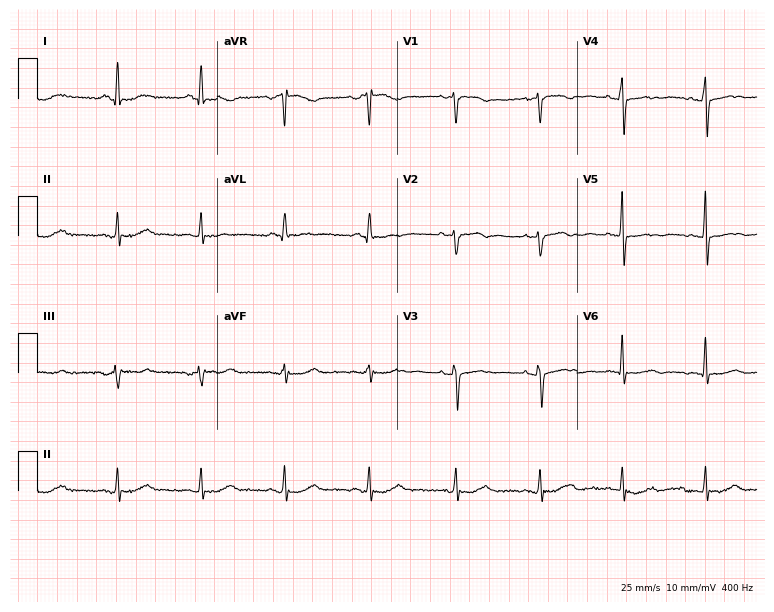
Resting 12-lead electrocardiogram. Patient: a woman, 63 years old. None of these six findings is recorded: first-degree AV block, right bundle branch block, left bundle branch block, sinus bradycardia, atrial fibrillation, sinus tachycardia.